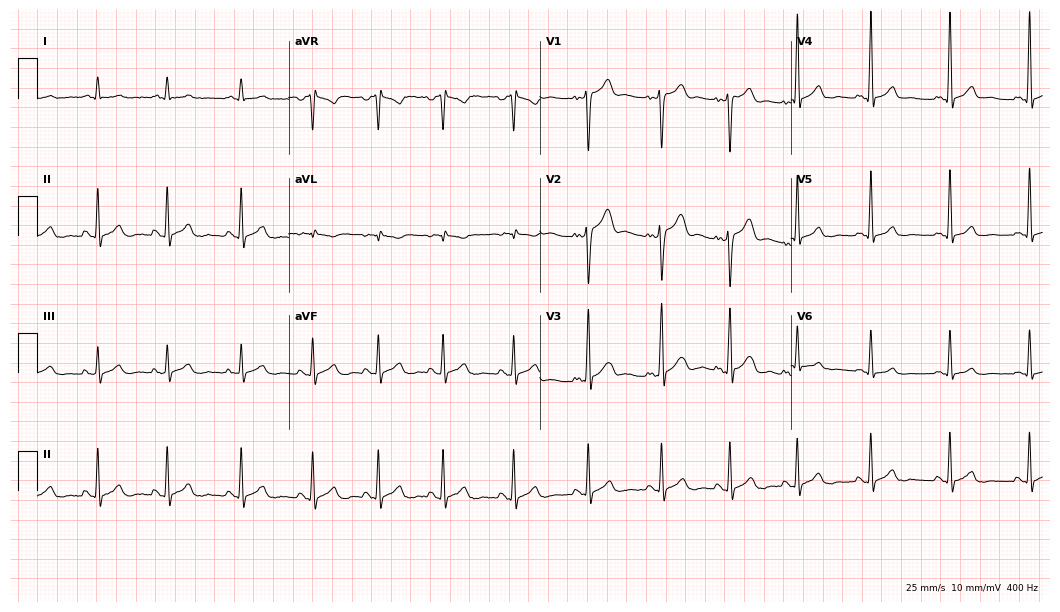
Standard 12-lead ECG recorded from a woman, 83 years old. Read as a normal ECG.